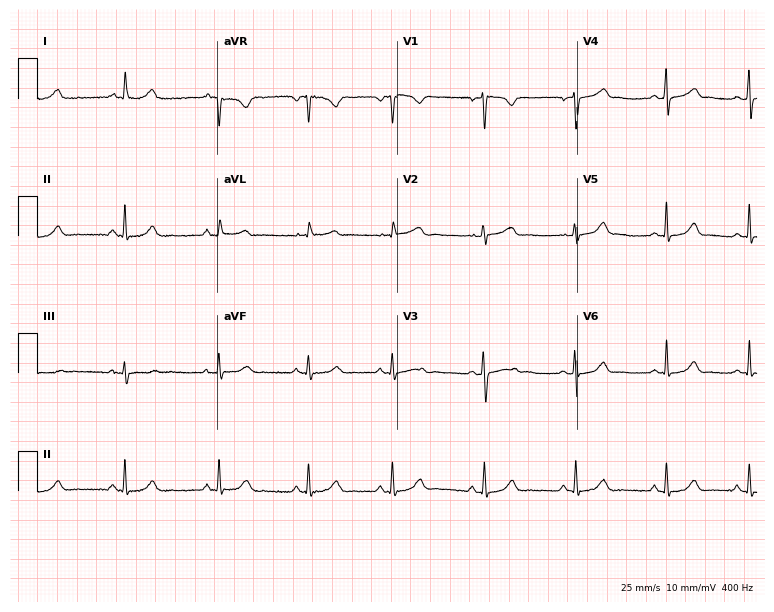
12-lead ECG from a female patient, 29 years old. Labelled as a normal ECG.